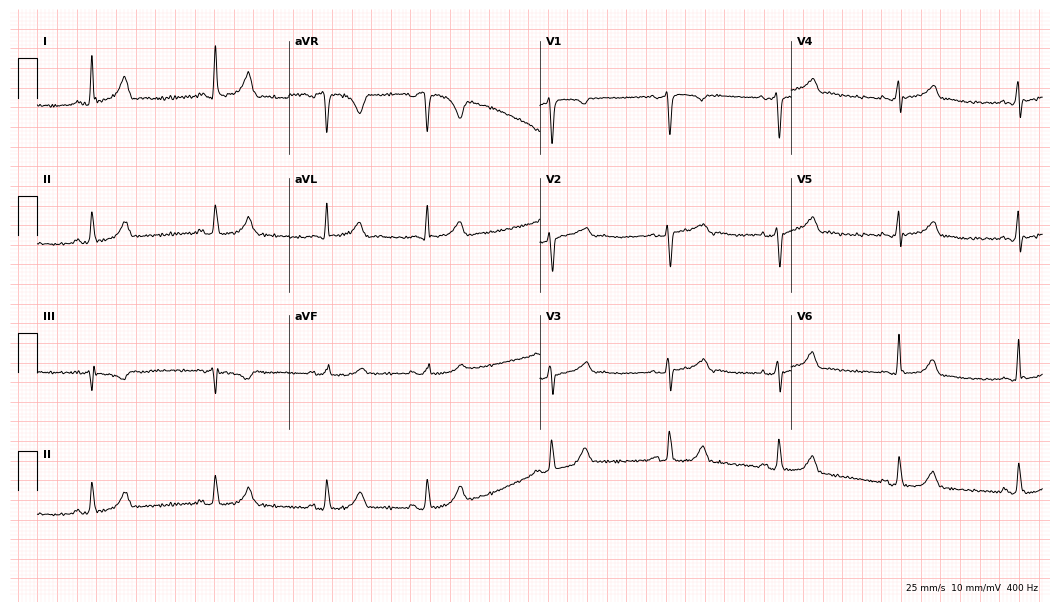
Electrocardiogram, a female patient, 40 years old. Overall reading on record: normal ECG.